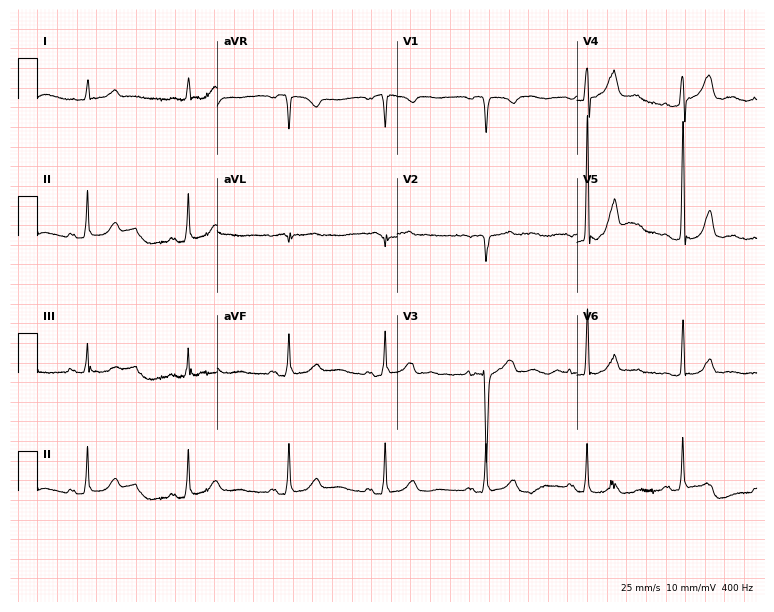
12-lead ECG (7.3-second recording at 400 Hz) from a 65-year-old man. Screened for six findings — first-degree AV block, right bundle branch block (RBBB), left bundle branch block (LBBB), sinus bradycardia, atrial fibrillation (AF), sinus tachycardia — none is recorded.